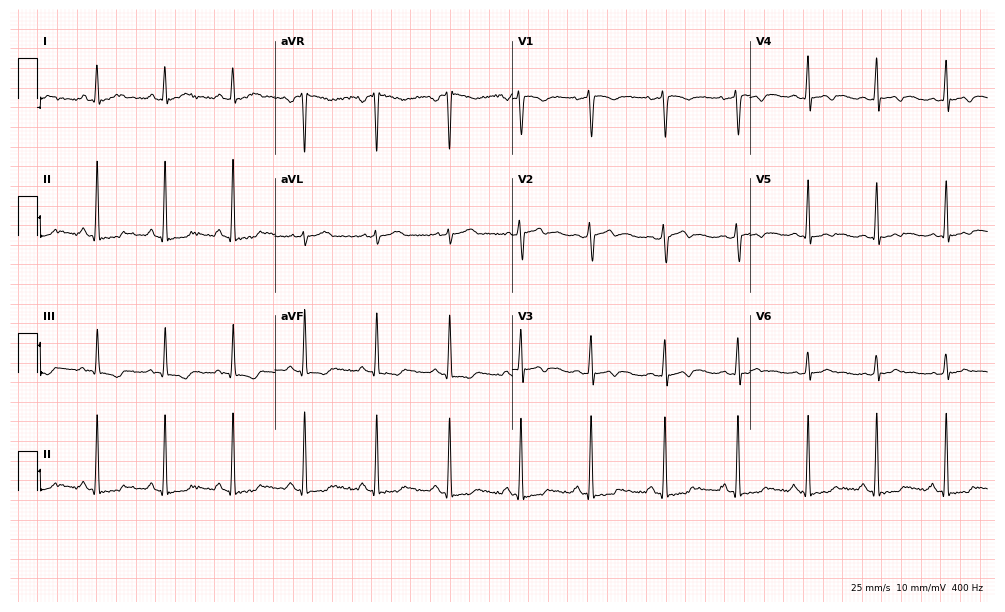
ECG — a female patient, 35 years old. Screened for six findings — first-degree AV block, right bundle branch block, left bundle branch block, sinus bradycardia, atrial fibrillation, sinus tachycardia — none is recorded.